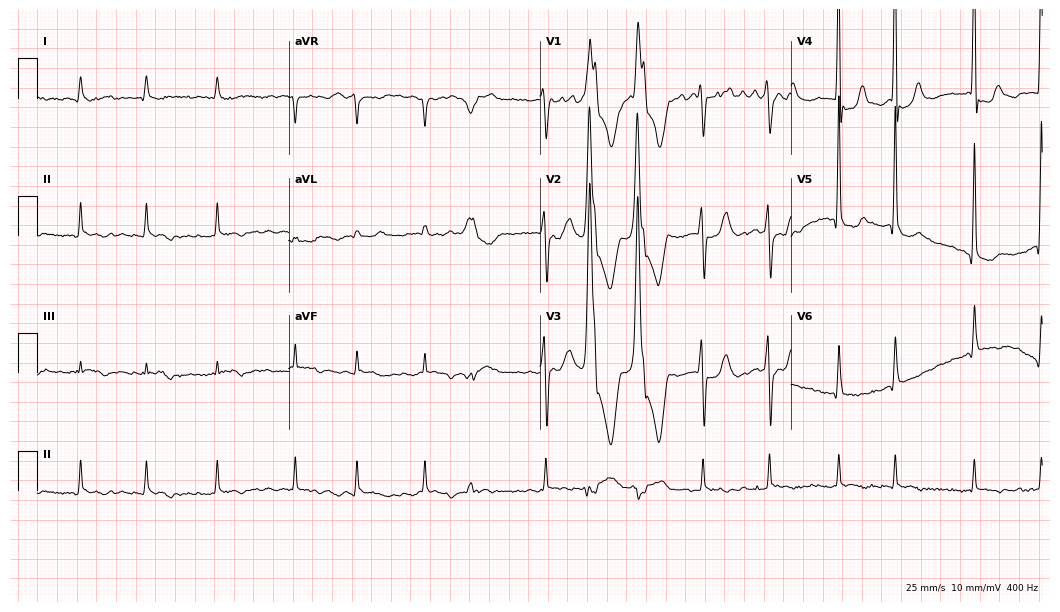
Resting 12-lead electrocardiogram. Patient: a male, 82 years old. The tracing shows atrial fibrillation.